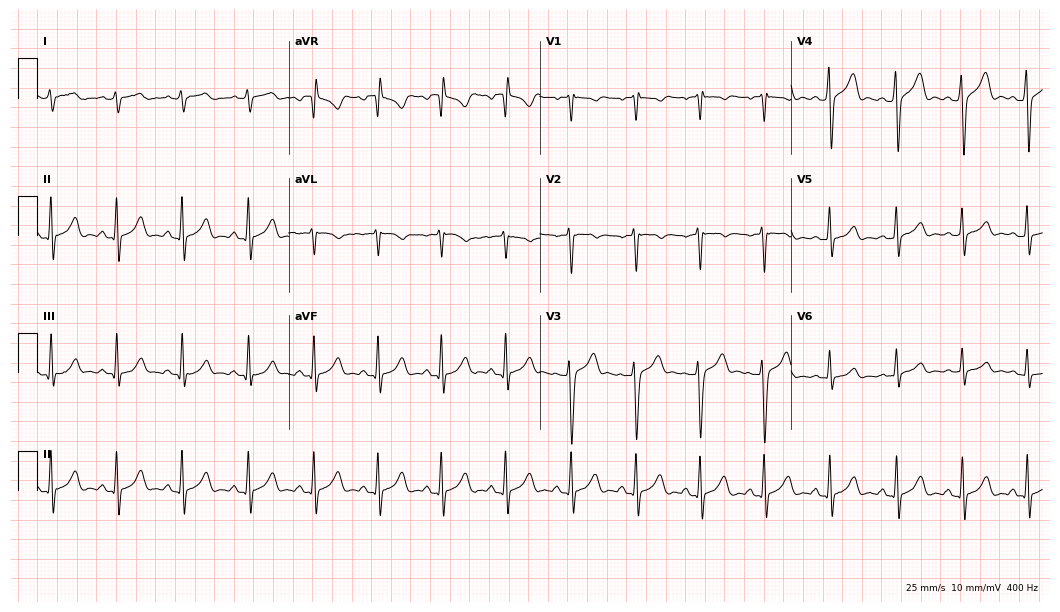
12-lead ECG from a man, 36 years old. Recorded interpretation: within normal limits.